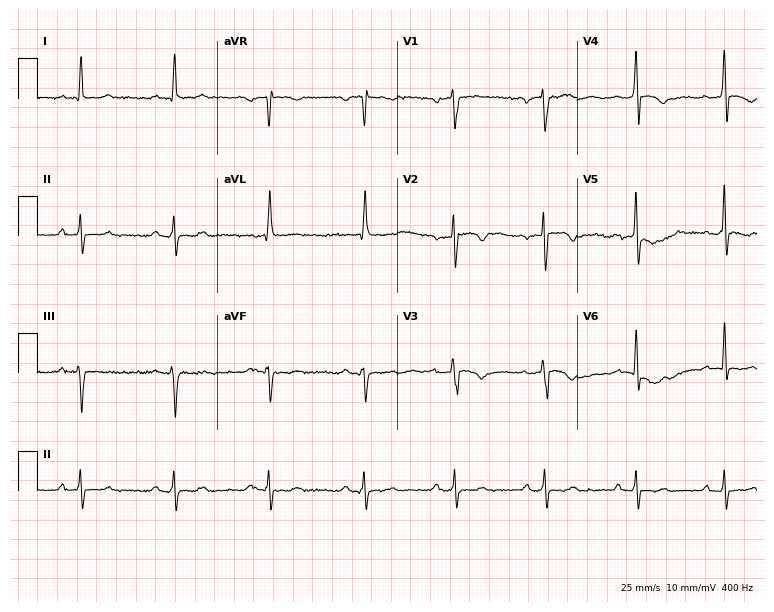
12-lead ECG from a 51-year-old man. No first-degree AV block, right bundle branch block (RBBB), left bundle branch block (LBBB), sinus bradycardia, atrial fibrillation (AF) or sinus tachycardia recorded for this tracing.